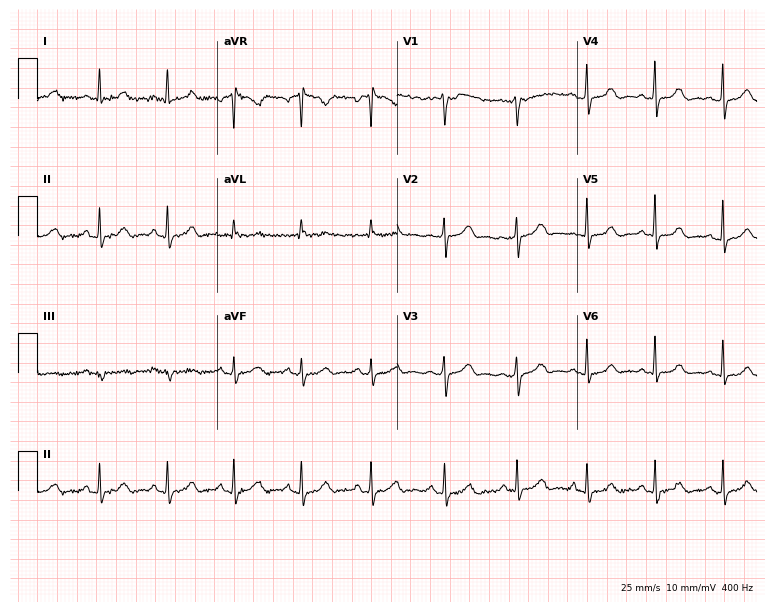
12-lead ECG from a female, 53 years old (7.3-second recording at 400 Hz). Recorded interpretation: within normal limits.